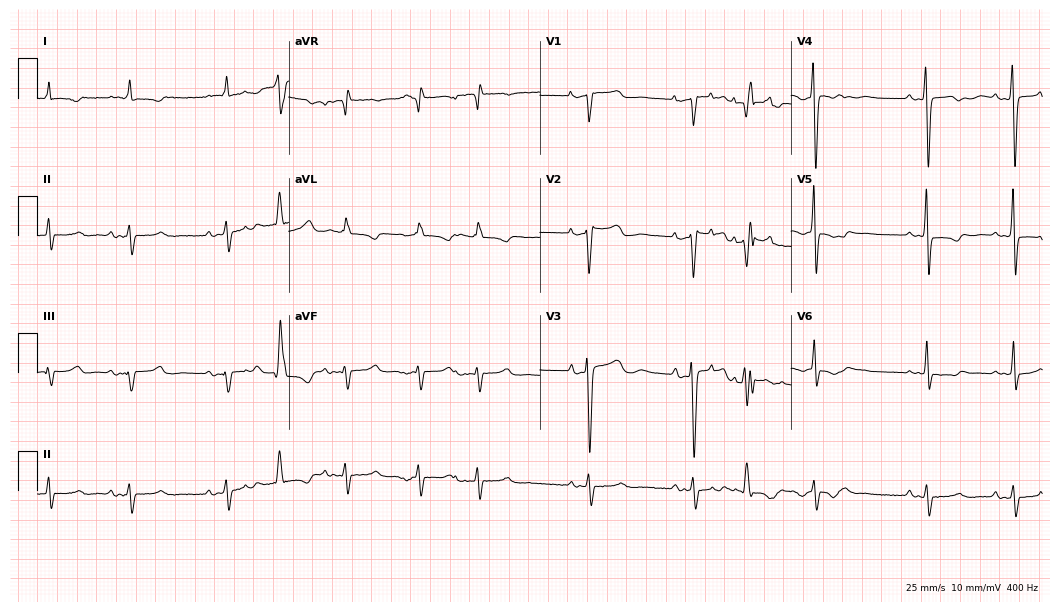
Standard 12-lead ECG recorded from a female patient, 83 years old (10.2-second recording at 400 Hz). None of these six findings is recorded: first-degree AV block, right bundle branch block (RBBB), left bundle branch block (LBBB), sinus bradycardia, atrial fibrillation (AF), sinus tachycardia.